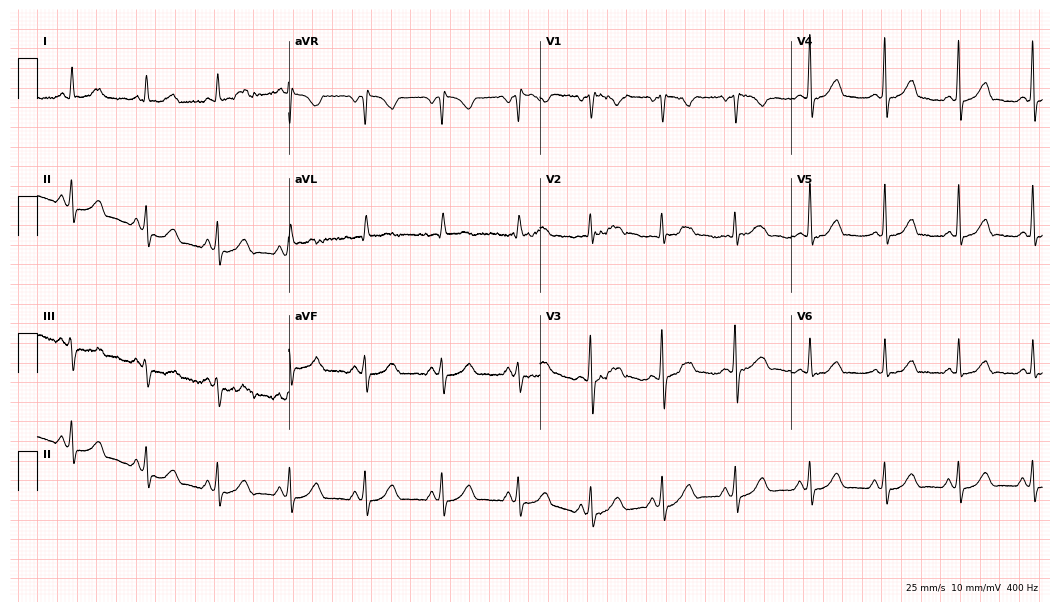
Standard 12-lead ECG recorded from a woman, 36 years old. Read as a normal ECG.